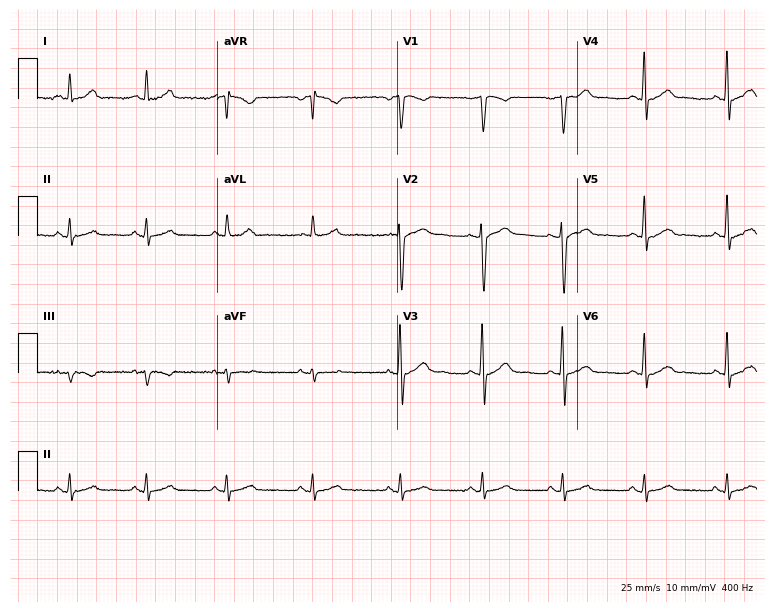
Resting 12-lead electrocardiogram (7.3-second recording at 400 Hz). Patient: a 35-year-old male. Read as a normal ECG.